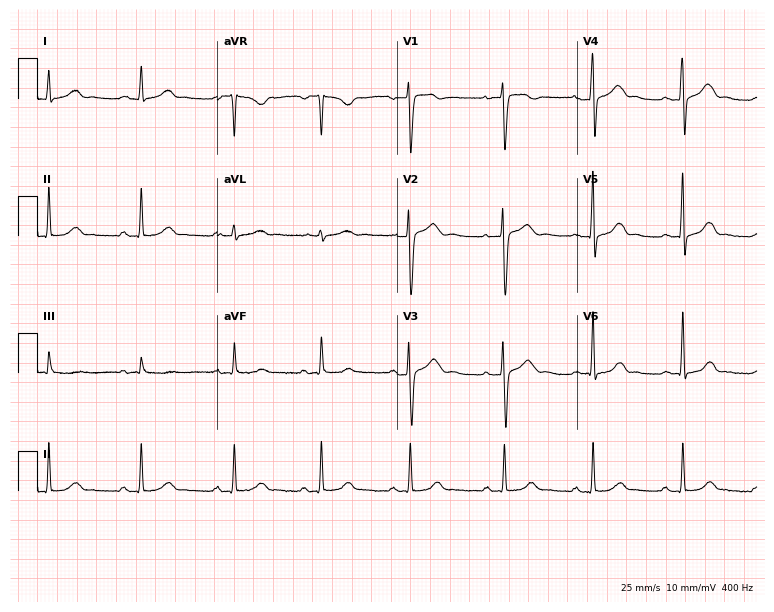
12-lead ECG from a woman, 40 years old. Labelled as a normal ECG.